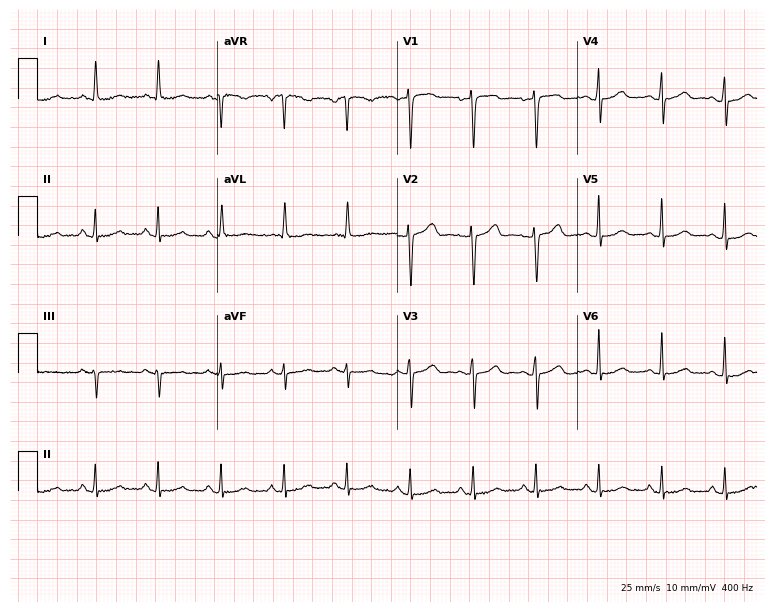
12-lead ECG from a 51-year-old man (7.3-second recording at 400 Hz). Recorded interpretation: within normal limits.